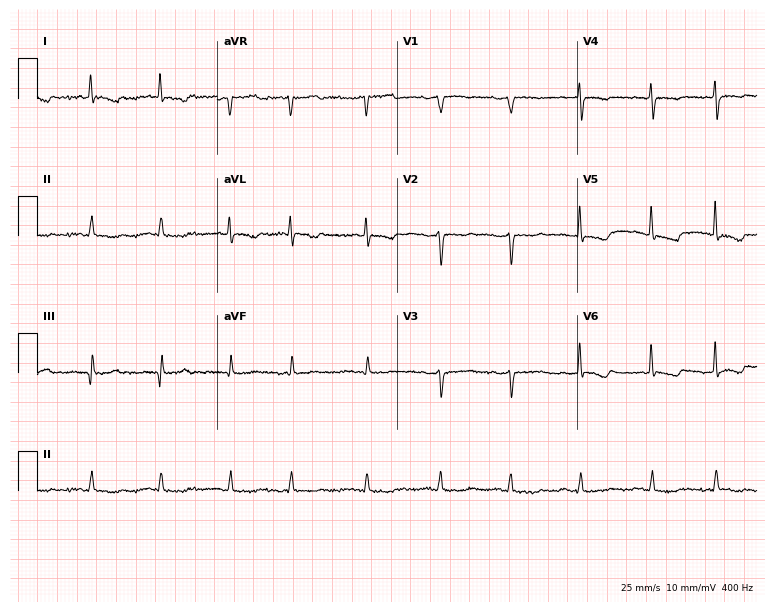
Resting 12-lead electrocardiogram. Patient: an 84-year-old female. None of these six findings is recorded: first-degree AV block, right bundle branch block, left bundle branch block, sinus bradycardia, atrial fibrillation, sinus tachycardia.